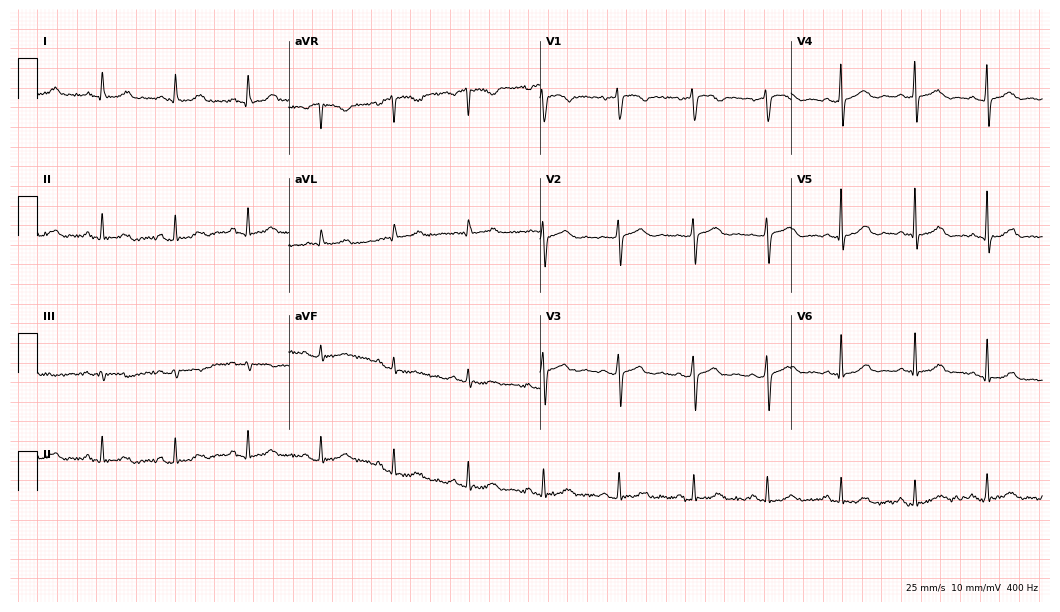
Standard 12-lead ECG recorded from a 74-year-old female patient (10.2-second recording at 400 Hz). Read as a normal ECG.